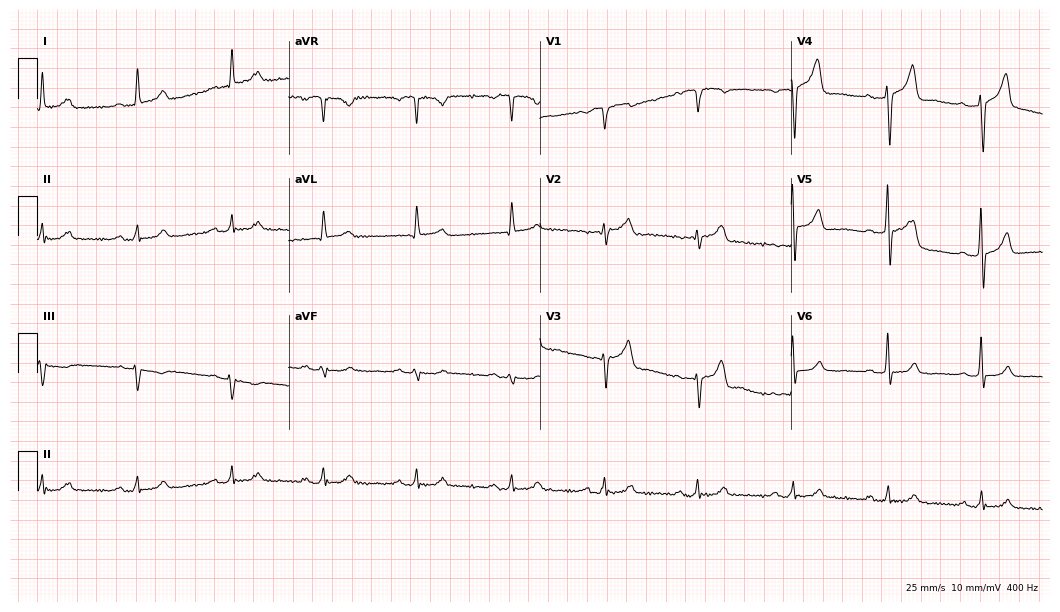
Resting 12-lead electrocardiogram (10.2-second recording at 400 Hz). Patient: a male, 68 years old. Read as a normal ECG.